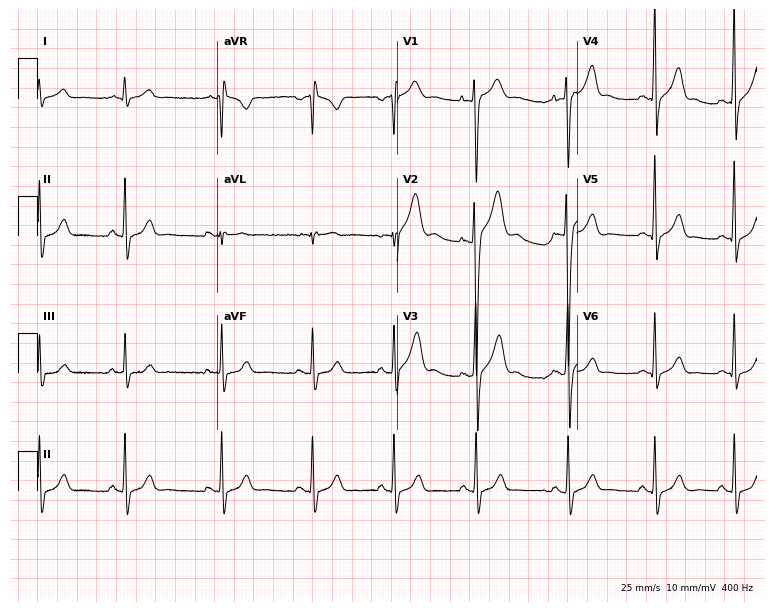
Electrocardiogram, an 18-year-old man. Of the six screened findings (first-degree AV block, right bundle branch block, left bundle branch block, sinus bradycardia, atrial fibrillation, sinus tachycardia), none is recorded. Other findings, if any, are not listed.